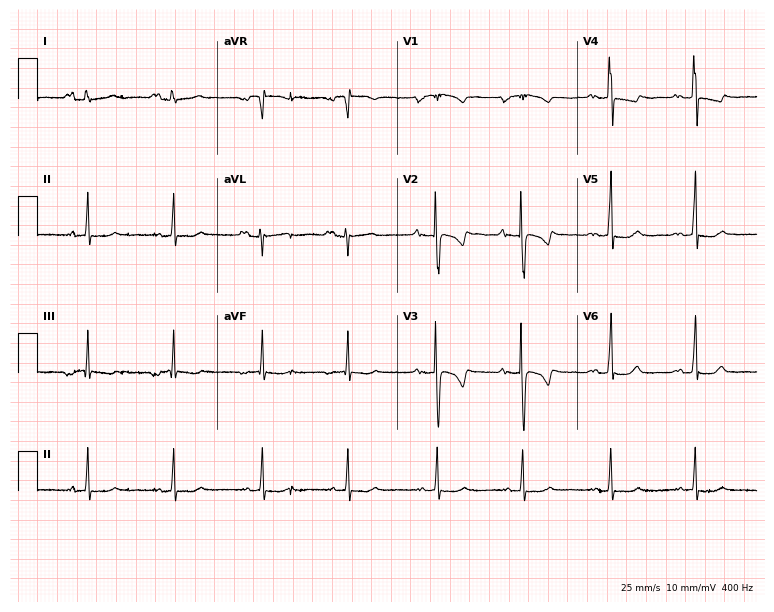
12-lead ECG from a female, 18 years old. No first-degree AV block, right bundle branch block, left bundle branch block, sinus bradycardia, atrial fibrillation or sinus tachycardia recorded for this tracing.